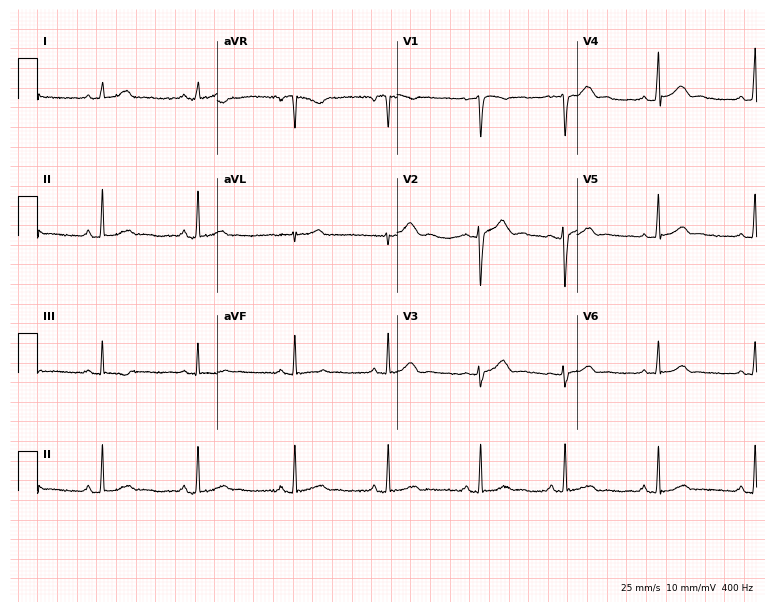
Electrocardiogram, a woman, 26 years old. Overall reading on record: normal ECG.